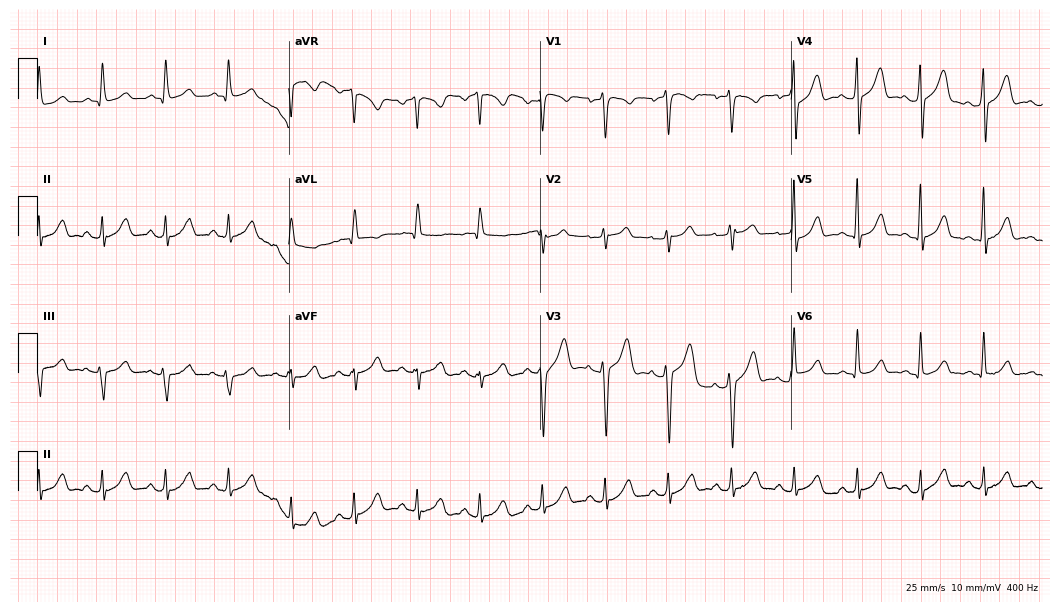
ECG (10.2-second recording at 400 Hz) — a woman, 50 years old. Labelled as a normal ECG.